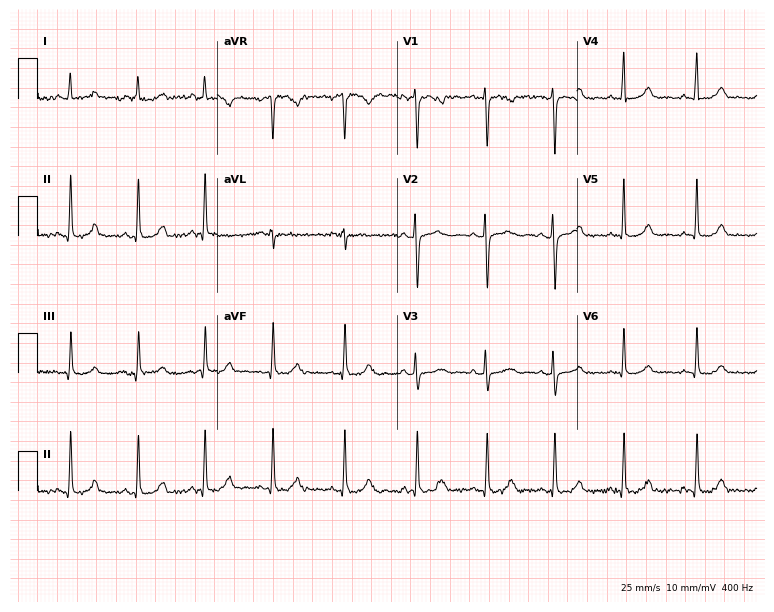
12-lead ECG from a female, 30 years old. Recorded interpretation: within normal limits.